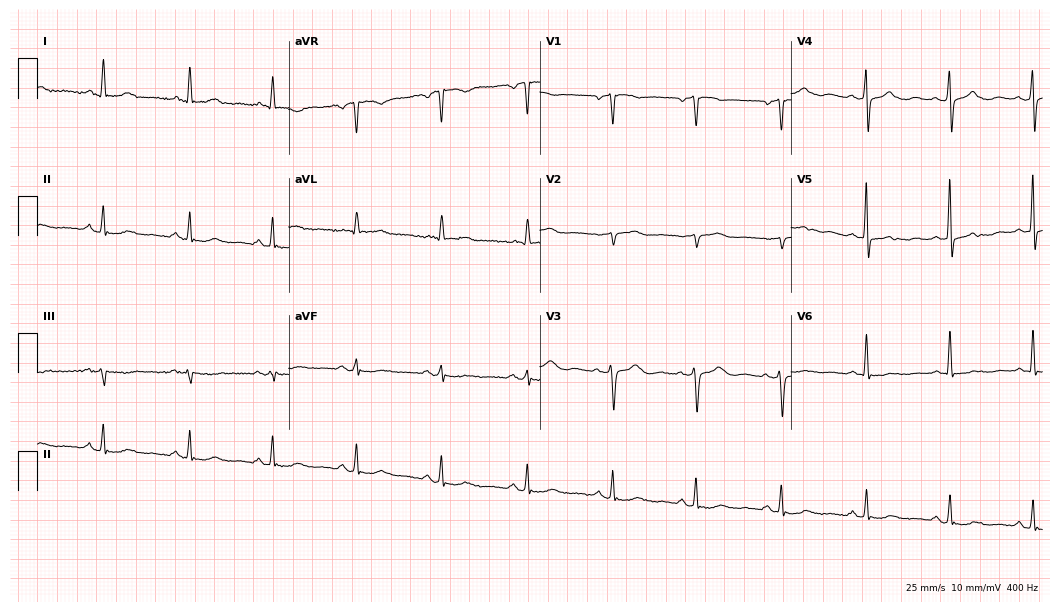
Resting 12-lead electrocardiogram. Patient: a 65-year-old female. None of these six findings is recorded: first-degree AV block, right bundle branch block, left bundle branch block, sinus bradycardia, atrial fibrillation, sinus tachycardia. Findings outside these six are not listed.